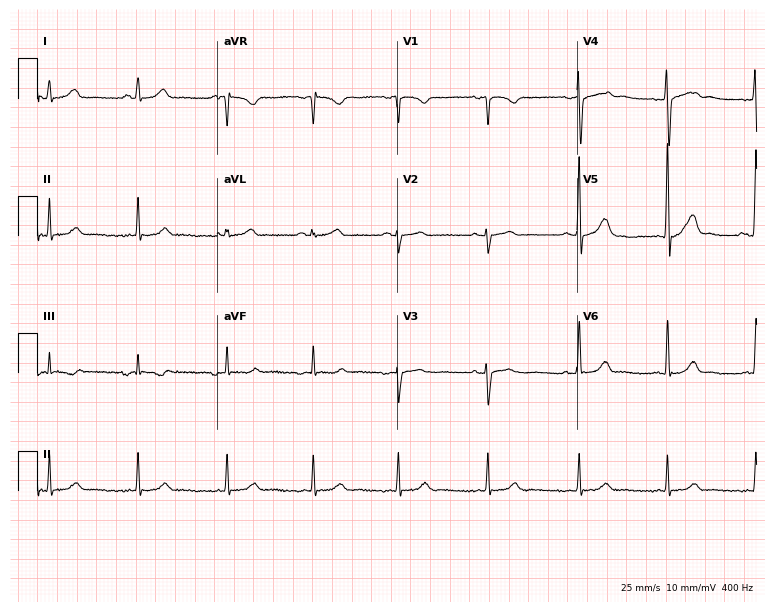
ECG — a 34-year-old female. Labelled as a normal ECG.